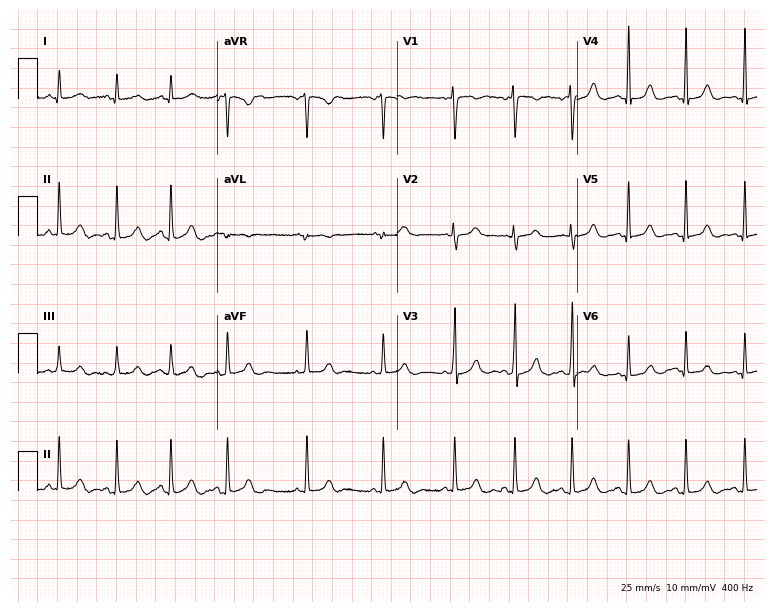
Resting 12-lead electrocardiogram. Patient: a female, 24 years old. Read as a normal ECG.